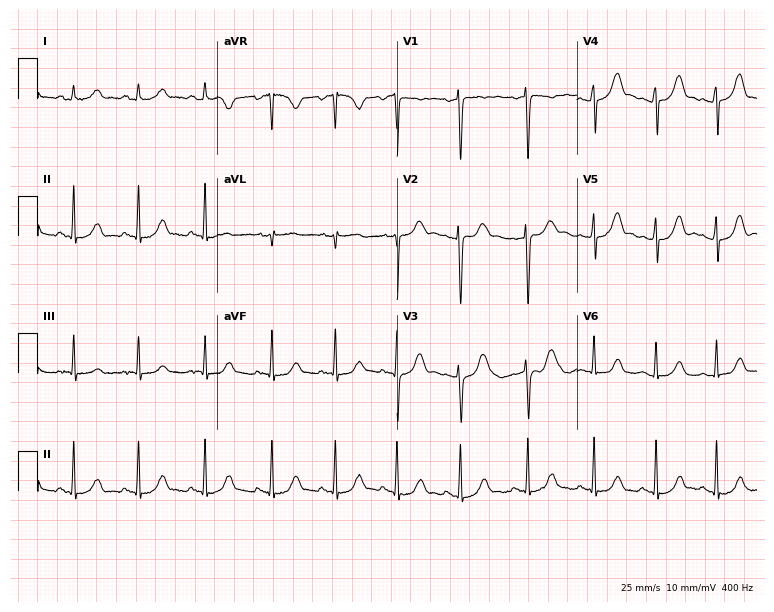
ECG — a female patient, 18 years old. Labelled as a normal ECG.